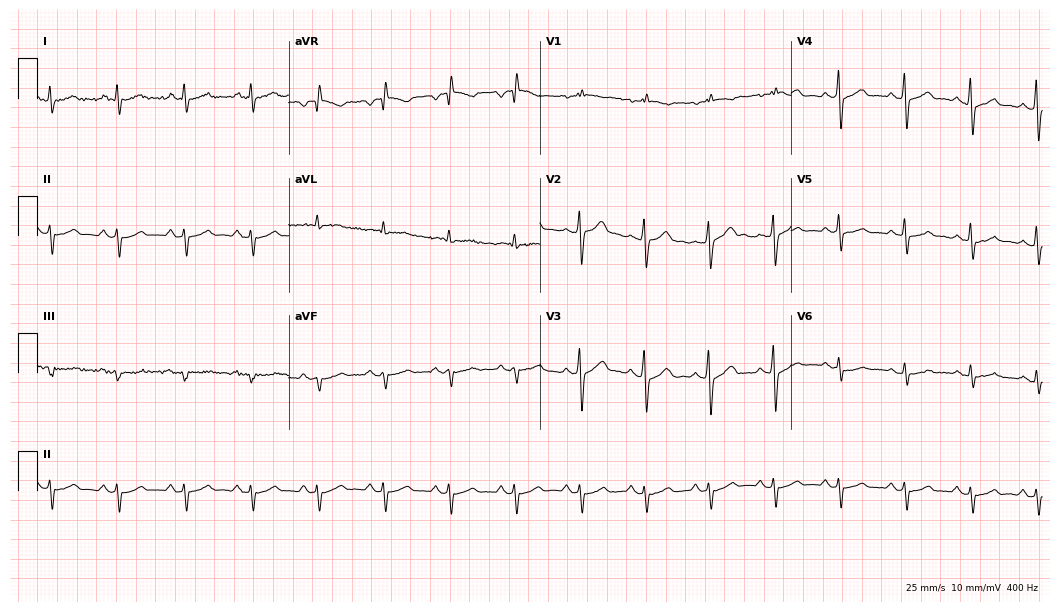
Standard 12-lead ECG recorded from a man, 54 years old. None of these six findings is recorded: first-degree AV block, right bundle branch block (RBBB), left bundle branch block (LBBB), sinus bradycardia, atrial fibrillation (AF), sinus tachycardia. Findings outside these six are not listed.